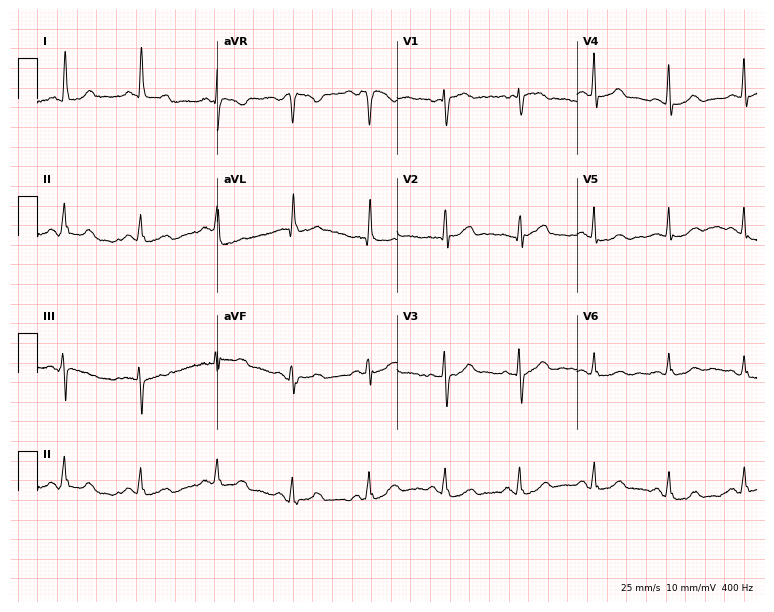
Resting 12-lead electrocardiogram. Patient: a 67-year-old female. Read as a normal ECG.